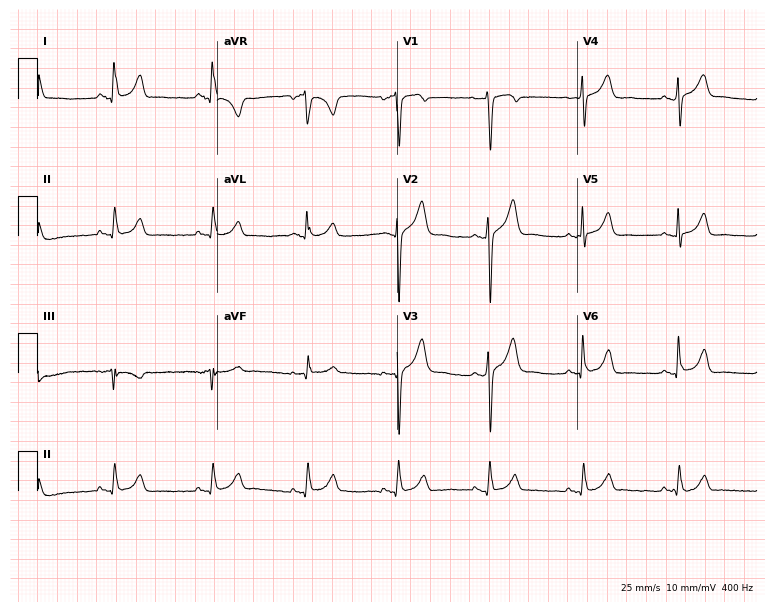
12-lead ECG from a man, 34 years old. No first-degree AV block, right bundle branch block (RBBB), left bundle branch block (LBBB), sinus bradycardia, atrial fibrillation (AF) or sinus tachycardia recorded for this tracing.